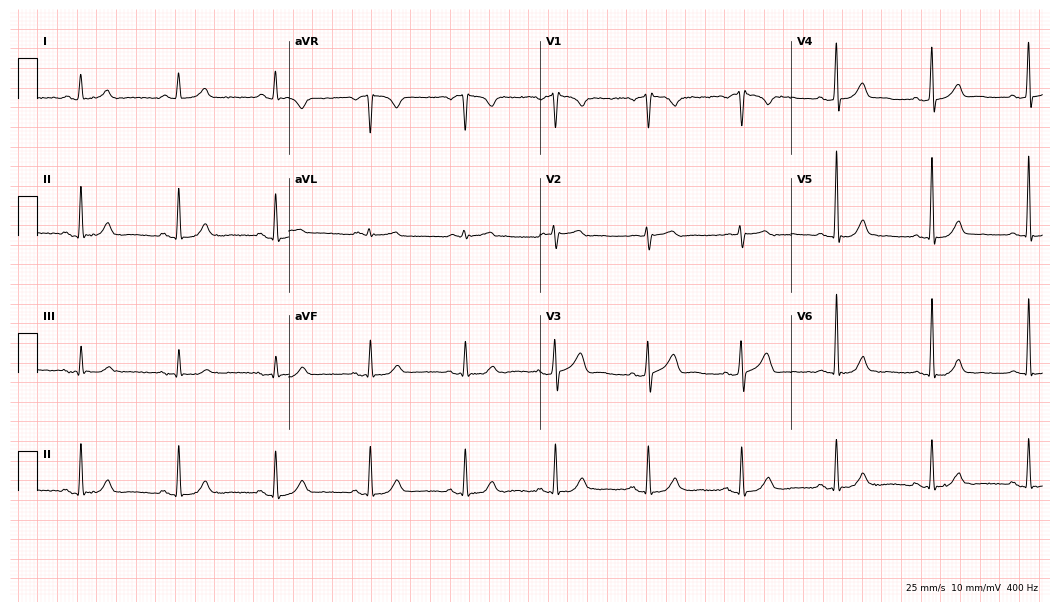
ECG (10.2-second recording at 400 Hz) — a 60-year-old male. Labelled as a normal ECG.